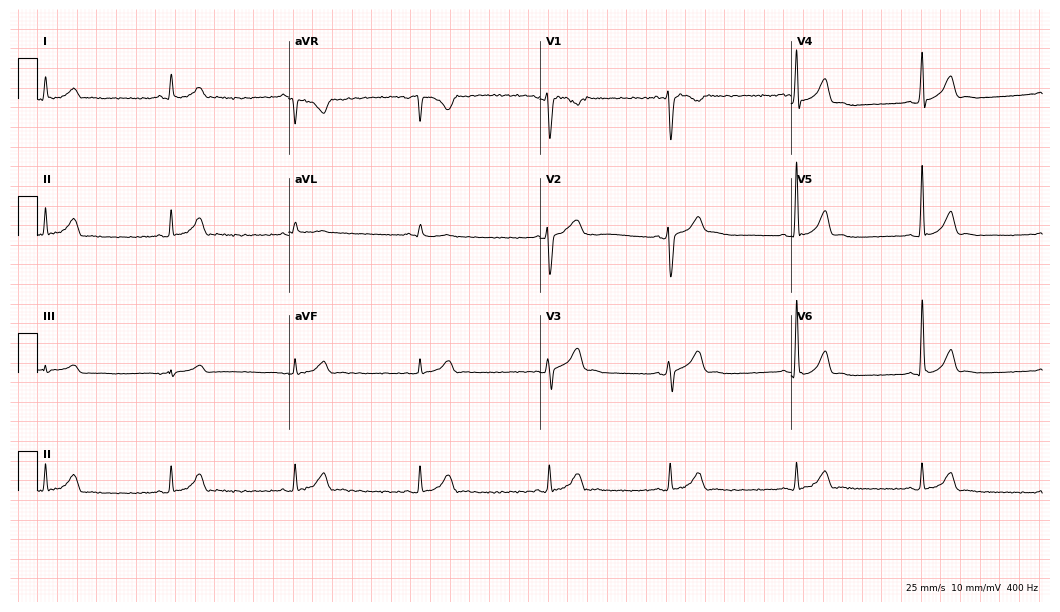
ECG — a 24-year-old male. Findings include sinus bradycardia (a sinus rate of 50 beats per minute or less).